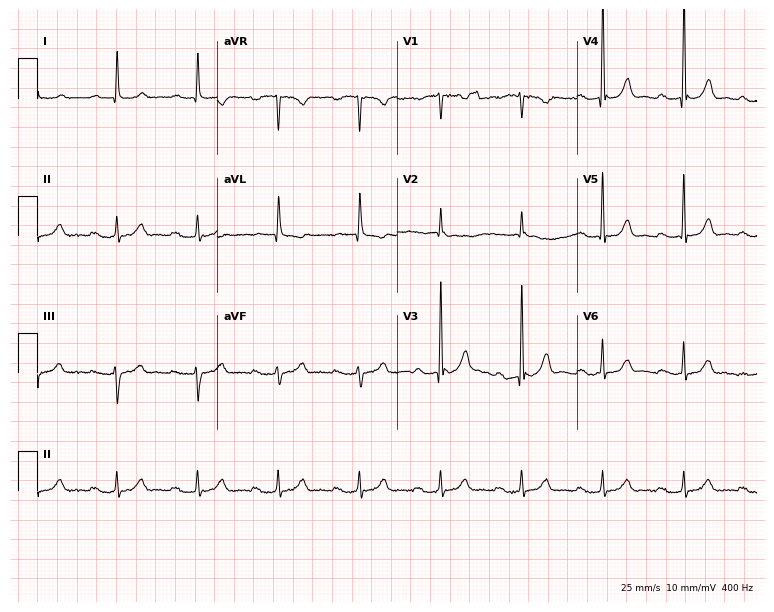
Standard 12-lead ECG recorded from an 86-year-old male patient. The tracing shows first-degree AV block.